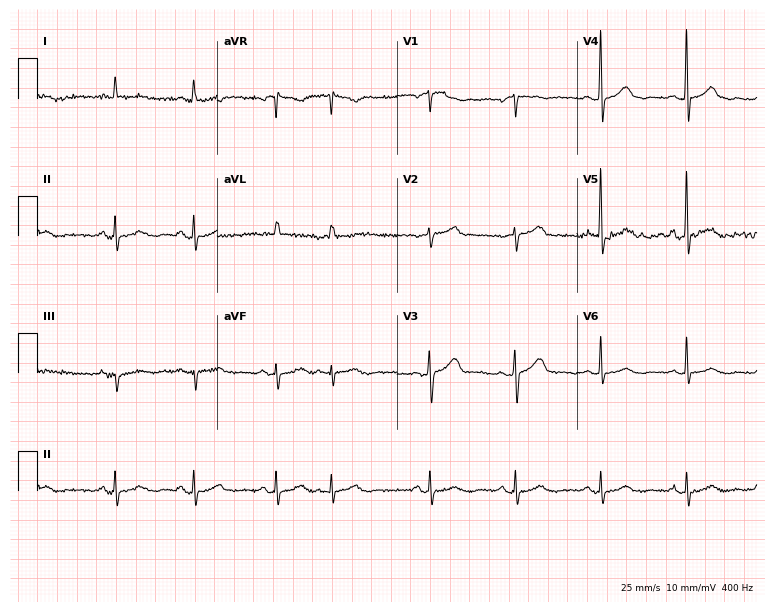
ECG (7.3-second recording at 400 Hz) — an 81-year-old female. Screened for six findings — first-degree AV block, right bundle branch block (RBBB), left bundle branch block (LBBB), sinus bradycardia, atrial fibrillation (AF), sinus tachycardia — none is recorded.